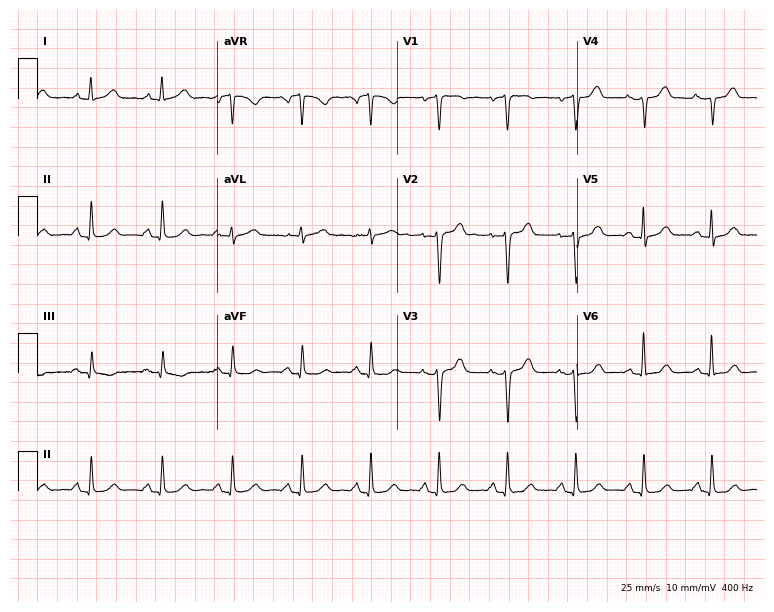
Resting 12-lead electrocardiogram (7.3-second recording at 400 Hz). Patient: a 53-year-old woman. Read as a normal ECG.